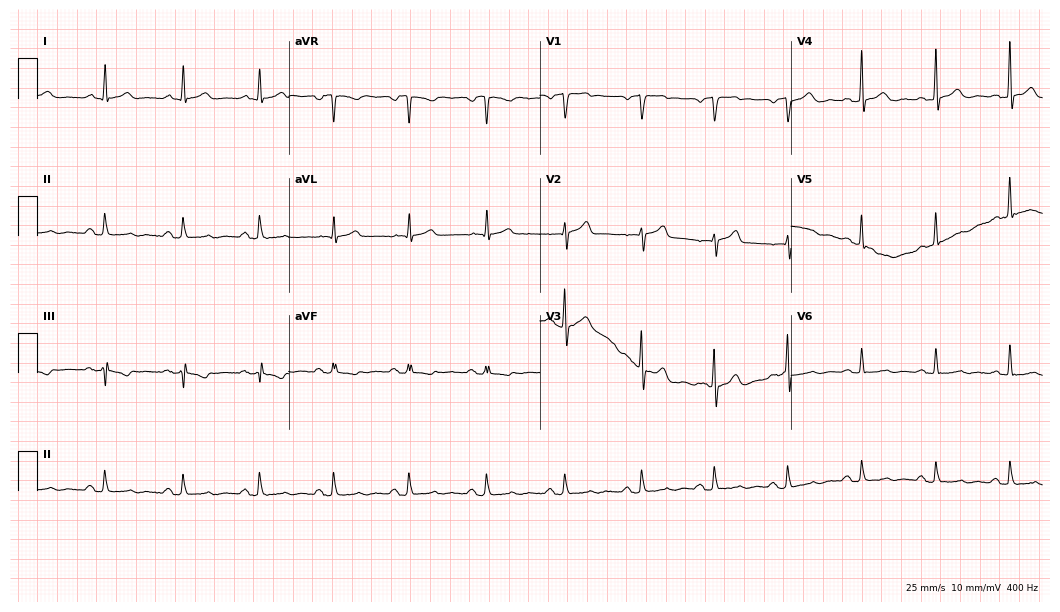
Resting 12-lead electrocardiogram (10.2-second recording at 400 Hz). Patient: a male, 75 years old. Read as a normal ECG.